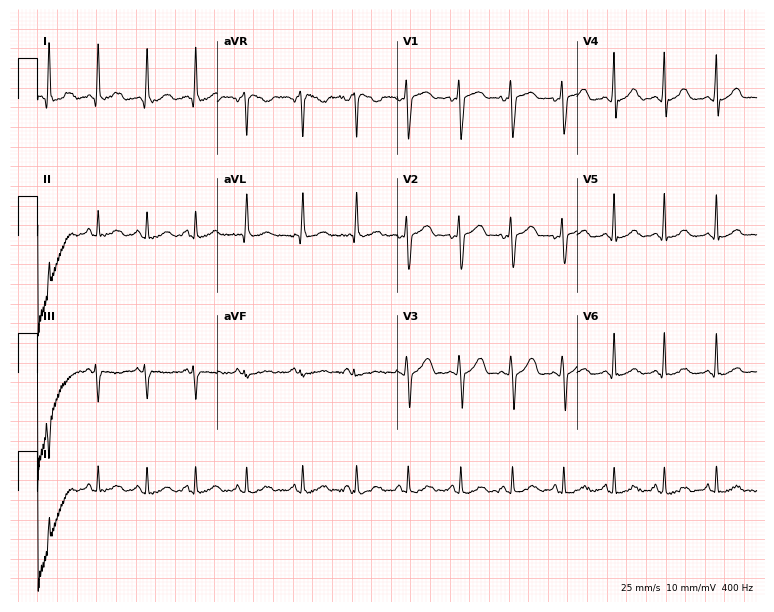
12-lead ECG from a female patient, 32 years old (7.3-second recording at 400 Hz). Shows sinus tachycardia (a sinus rate of 100 beats per minute or more).